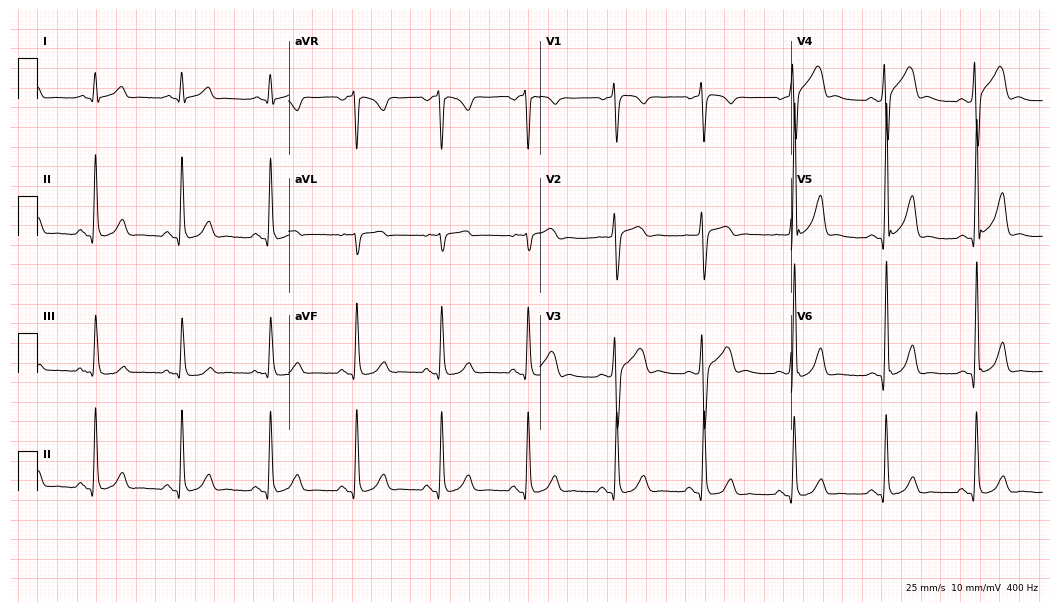
12-lead ECG (10.2-second recording at 400 Hz) from a male, 31 years old. Screened for six findings — first-degree AV block, right bundle branch block, left bundle branch block, sinus bradycardia, atrial fibrillation, sinus tachycardia — none is recorded.